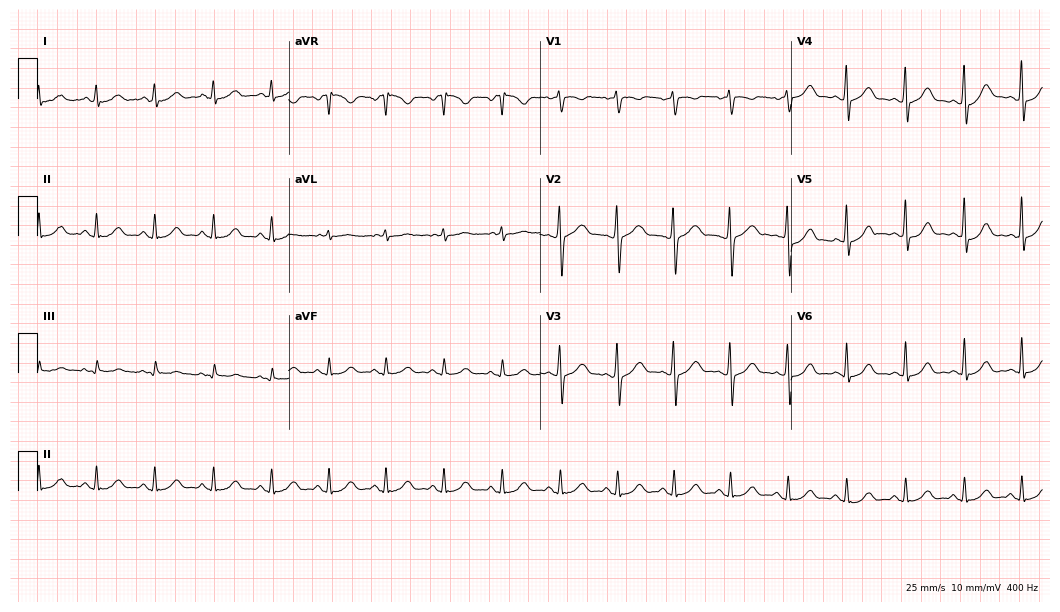
12-lead ECG from a female, 31 years old. Findings include sinus tachycardia (a sinus rate of 100 beats per minute or more).